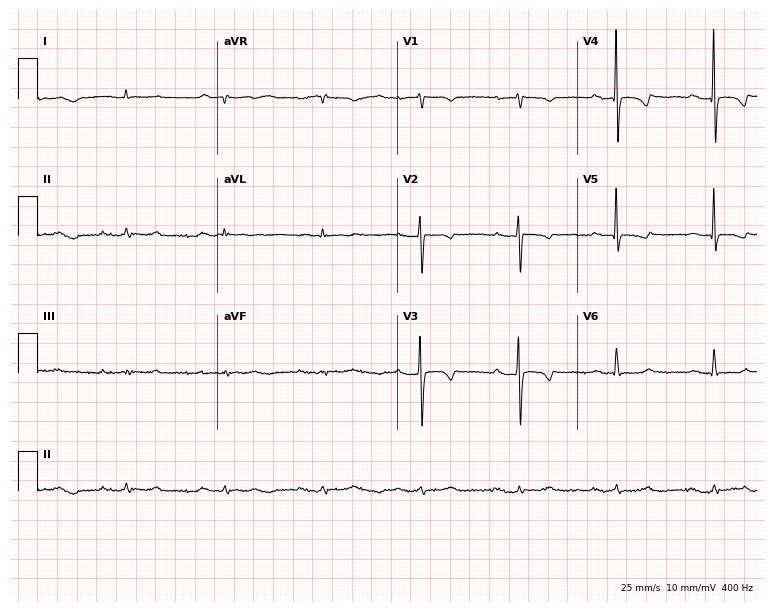
12-lead ECG from a female patient, 53 years old. Screened for six findings — first-degree AV block, right bundle branch block, left bundle branch block, sinus bradycardia, atrial fibrillation, sinus tachycardia — none is recorded. Only these six findings were labelled.